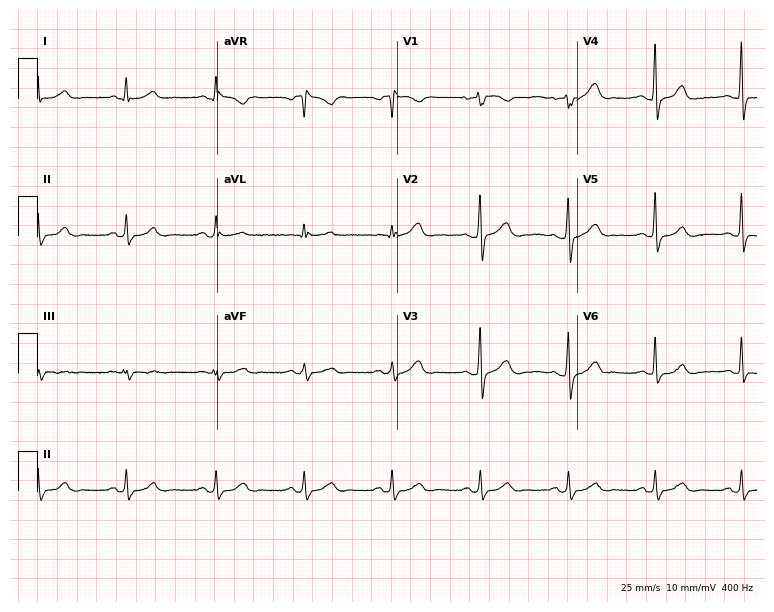
Resting 12-lead electrocardiogram (7.3-second recording at 400 Hz). Patient: a 67-year-old female. Read as a normal ECG.